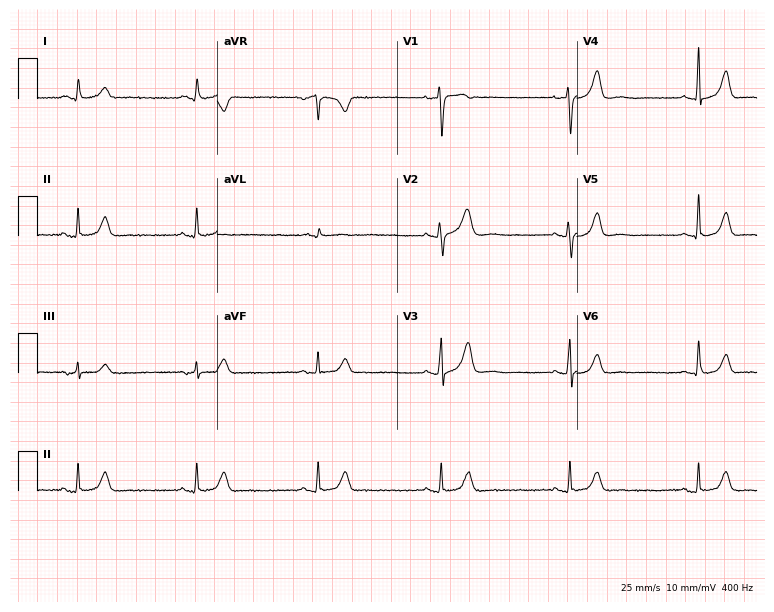
12-lead ECG (7.3-second recording at 400 Hz) from a female patient, 48 years old. Labelled as a normal ECG.